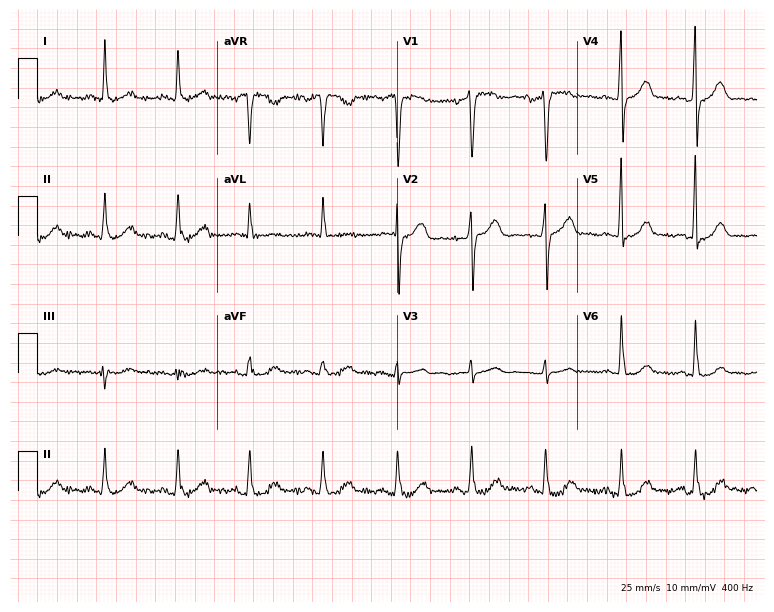
12-lead ECG from a 57-year-old female patient (7.3-second recording at 400 Hz). No first-degree AV block, right bundle branch block, left bundle branch block, sinus bradycardia, atrial fibrillation or sinus tachycardia recorded for this tracing.